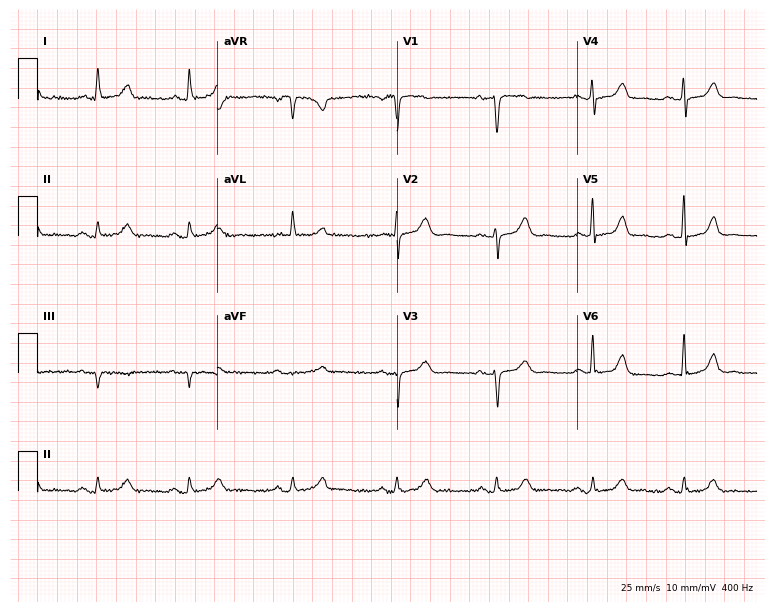
12-lead ECG from a female patient, 79 years old (7.3-second recording at 400 Hz). No first-degree AV block, right bundle branch block (RBBB), left bundle branch block (LBBB), sinus bradycardia, atrial fibrillation (AF) or sinus tachycardia recorded for this tracing. Only these six findings were labelled.